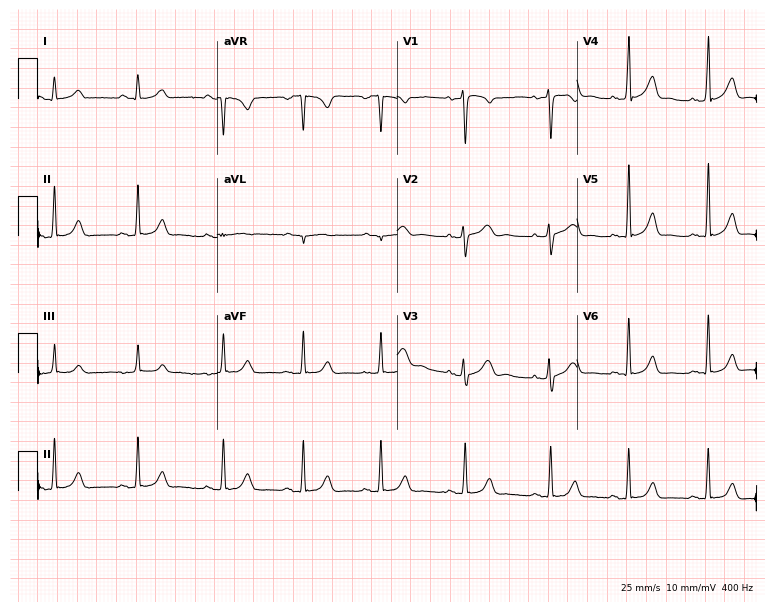
ECG — a 19-year-old female patient. Screened for six findings — first-degree AV block, right bundle branch block (RBBB), left bundle branch block (LBBB), sinus bradycardia, atrial fibrillation (AF), sinus tachycardia — none is recorded.